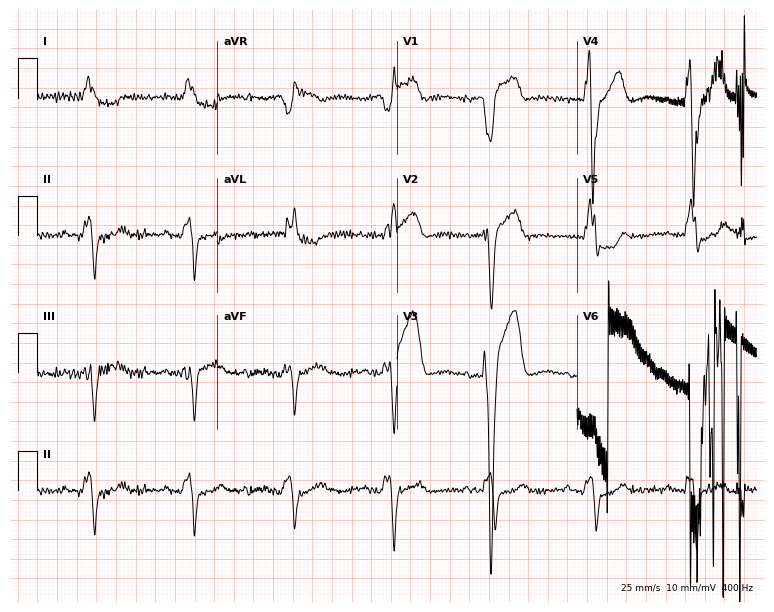
12-lead ECG from a female, 82 years old. Findings include left bundle branch block.